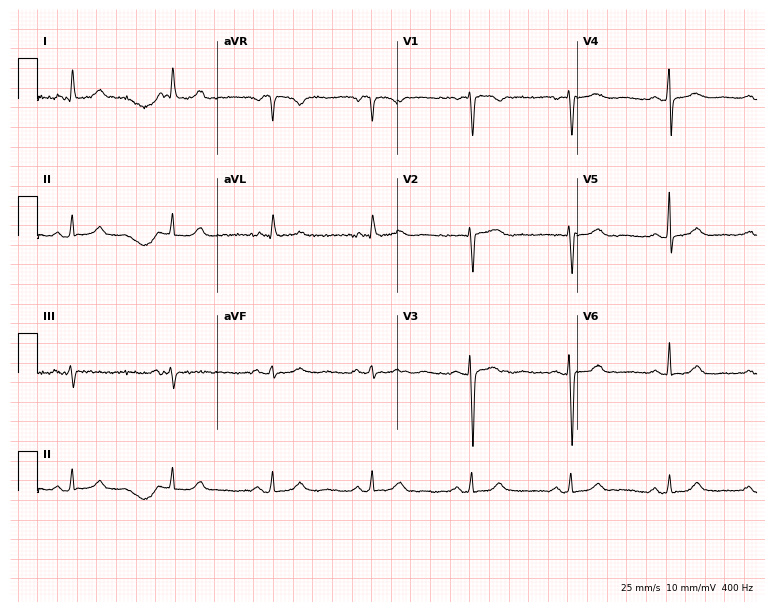
Standard 12-lead ECG recorded from a 59-year-old female. Read as a normal ECG.